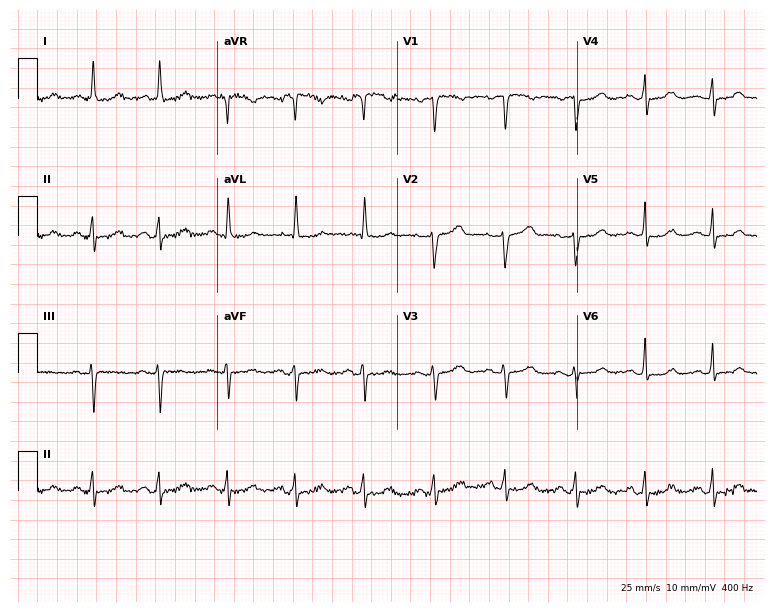
Resting 12-lead electrocardiogram (7.3-second recording at 400 Hz). Patient: a woman, 69 years old. None of these six findings is recorded: first-degree AV block, right bundle branch block (RBBB), left bundle branch block (LBBB), sinus bradycardia, atrial fibrillation (AF), sinus tachycardia. Findings outside these six are not listed.